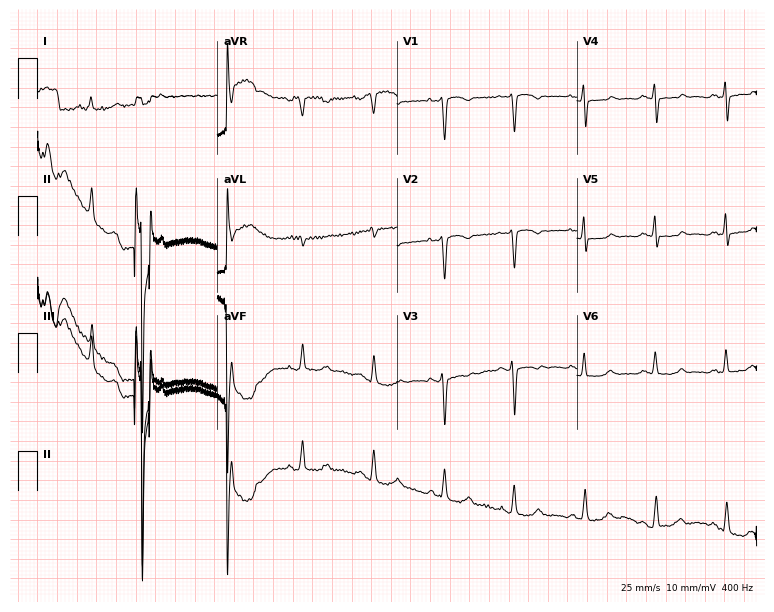
Electrocardiogram (7.3-second recording at 400 Hz), a male, 49 years old. Of the six screened findings (first-degree AV block, right bundle branch block, left bundle branch block, sinus bradycardia, atrial fibrillation, sinus tachycardia), none is recorded. Findings outside these six are not listed.